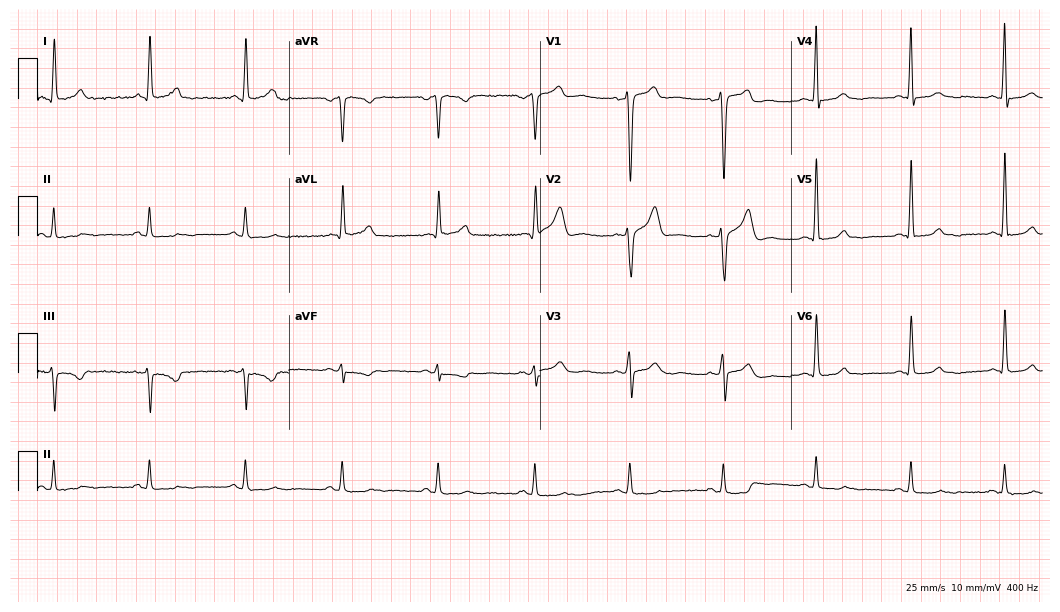
12-lead ECG from a 63-year-old man. No first-degree AV block, right bundle branch block, left bundle branch block, sinus bradycardia, atrial fibrillation or sinus tachycardia recorded for this tracing. Other findings, if any, are not listed.